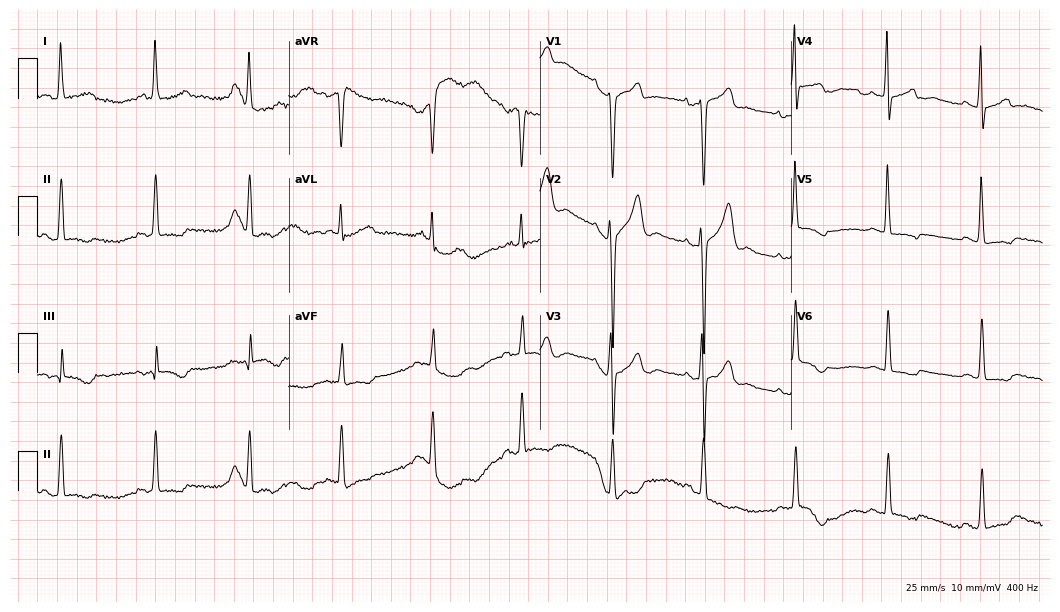
12-lead ECG from a man, 65 years old. No first-degree AV block, right bundle branch block, left bundle branch block, sinus bradycardia, atrial fibrillation or sinus tachycardia recorded for this tracing. Only these six findings were labelled.